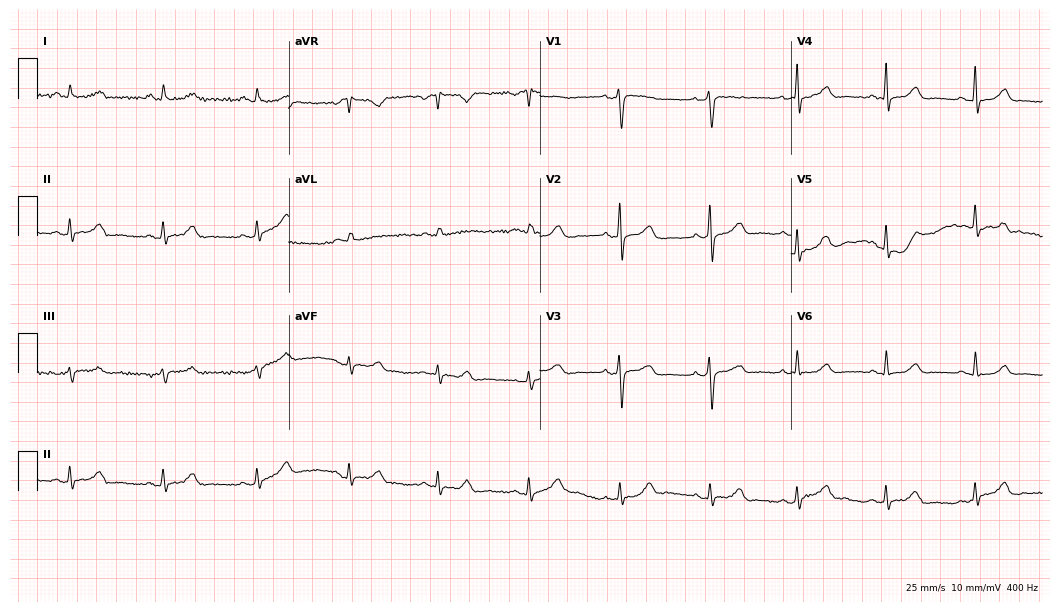
Electrocardiogram (10.2-second recording at 400 Hz), a 38-year-old woman. Overall reading on record: normal ECG.